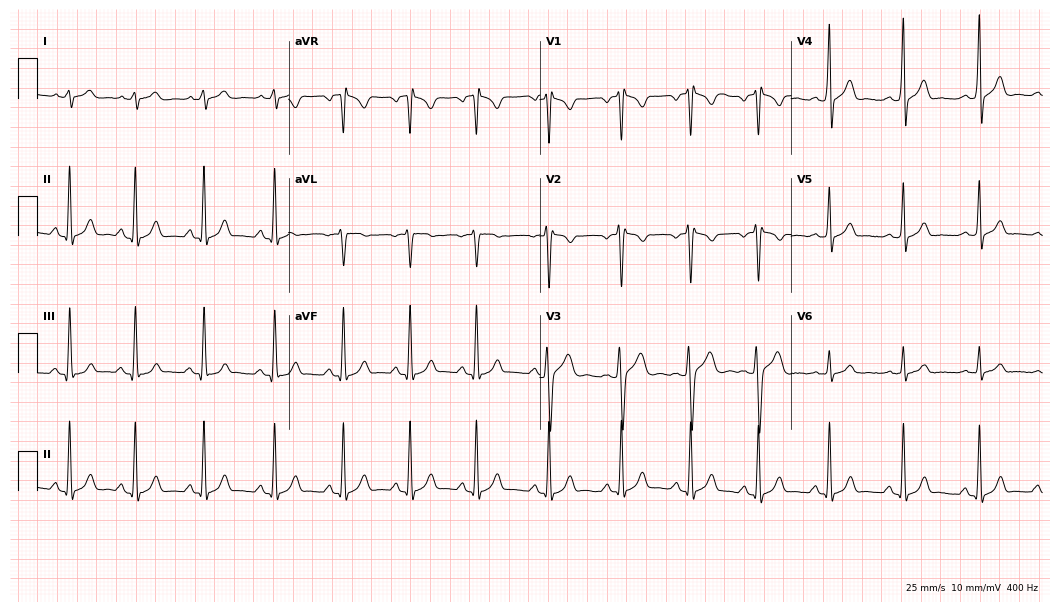
Resting 12-lead electrocardiogram (10.2-second recording at 400 Hz). Patient: a male, 19 years old. None of these six findings is recorded: first-degree AV block, right bundle branch block, left bundle branch block, sinus bradycardia, atrial fibrillation, sinus tachycardia. Findings outside these six are not listed.